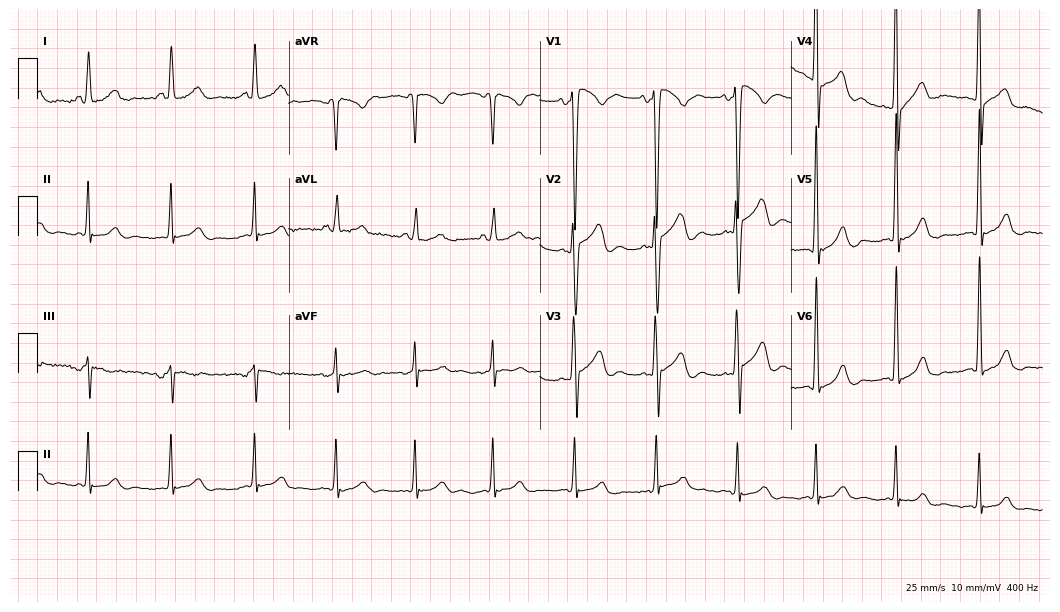
12-lead ECG (10.2-second recording at 400 Hz) from a male, 22 years old. Labelled as a normal ECG.